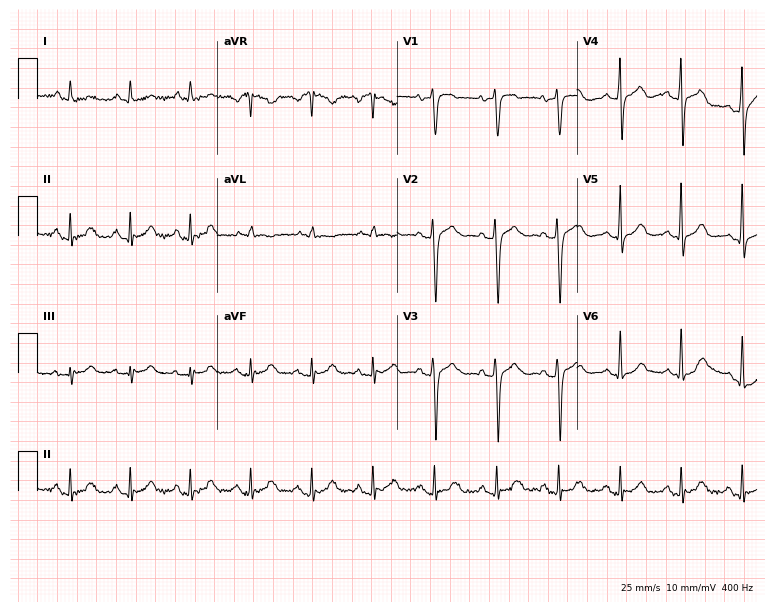
Standard 12-lead ECG recorded from a female, 59 years old. Read as a normal ECG.